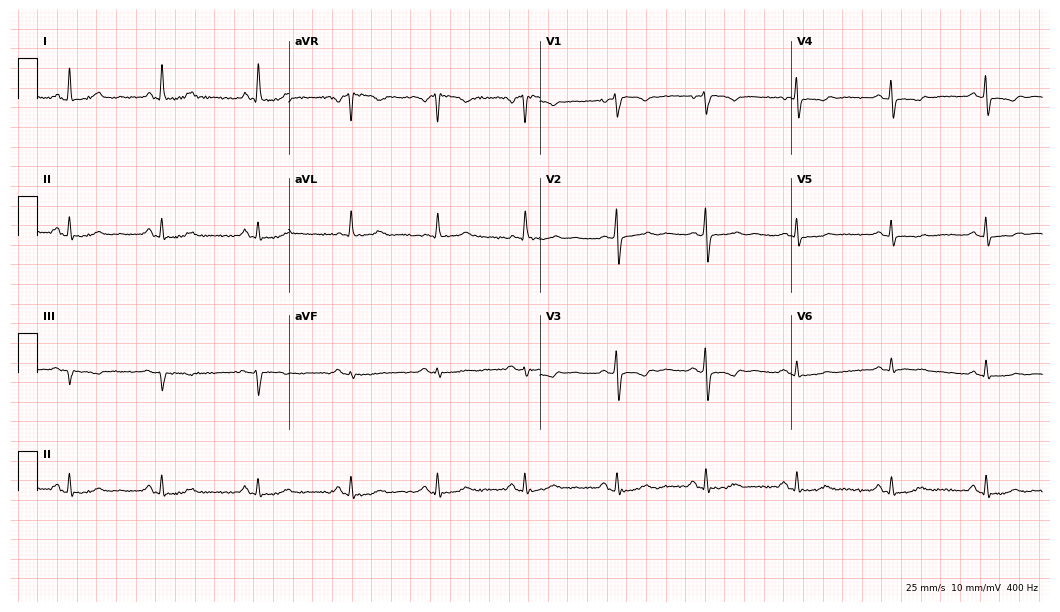
ECG (10.2-second recording at 400 Hz) — a 52-year-old woman. Screened for six findings — first-degree AV block, right bundle branch block, left bundle branch block, sinus bradycardia, atrial fibrillation, sinus tachycardia — none is recorded.